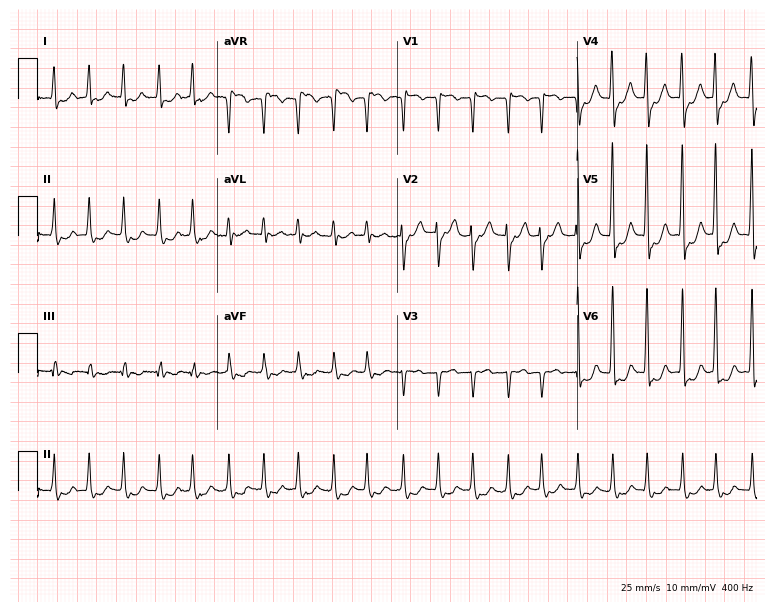
Standard 12-lead ECG recorded from a 71-year-old male (7.3-second recording at 400 Hz). The tracing shows sinus tachycardia (a sinus rate of 100 beats per minute or more).